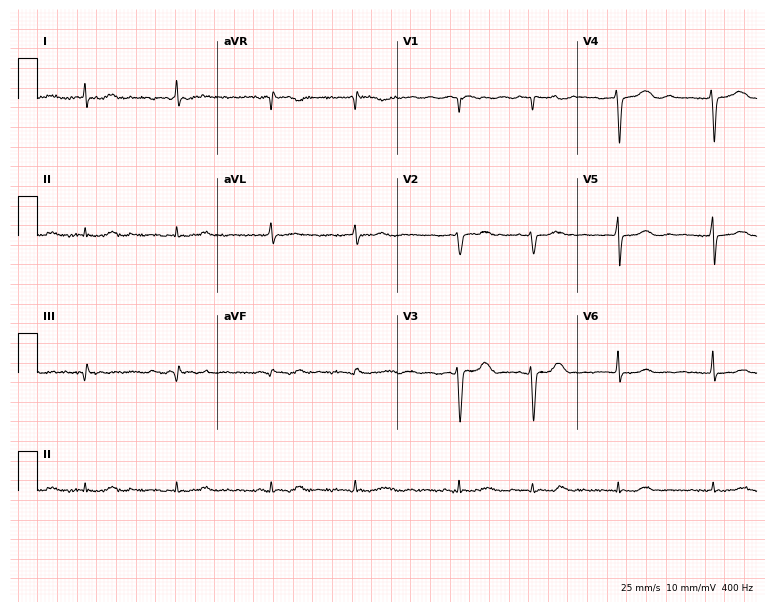
12-lead ECG from an 84-year-old female patient (7.3-second recording at 400 Hz). No first-degree AV block, right bundle branch block, left bundle branch block, sinus bradycardia, atrial fibrillation or sinus tachycardia recorded for this tracing. Only these six findings were labelled.